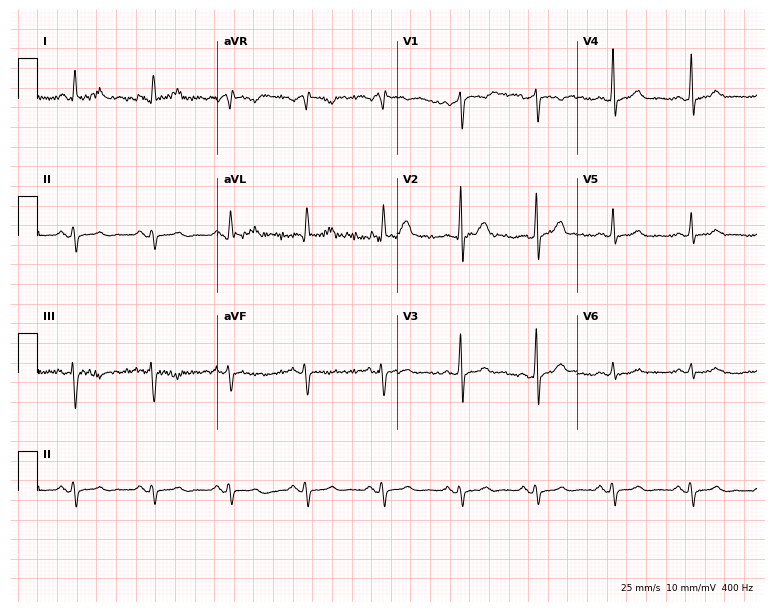
Electrocardiogram, a male, 57 years old. Of the six screened findings (first-degree AV block, right bundle branch block (RBBB), left bundle branch block (LBBB), sinus bradycardia, atrial fibrillation (AF), sinus tachycardia), none is recorded. Only these six findings were labelled.